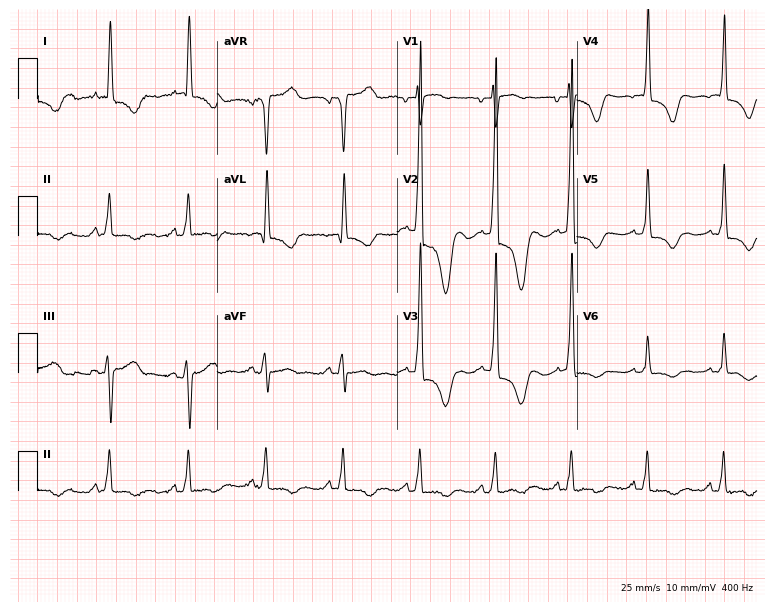
Resting 12-lead electrocardiogram (7.3-second recording at 400 Hz). Patient: a 75-year-old man. None of these six findings is recorded: first-degree AV block, right bundle branch block (RBBB), left bundle branch block (LBBB), sinus bradycardia, atrial fibrillation (AF), sinus tachycardia.